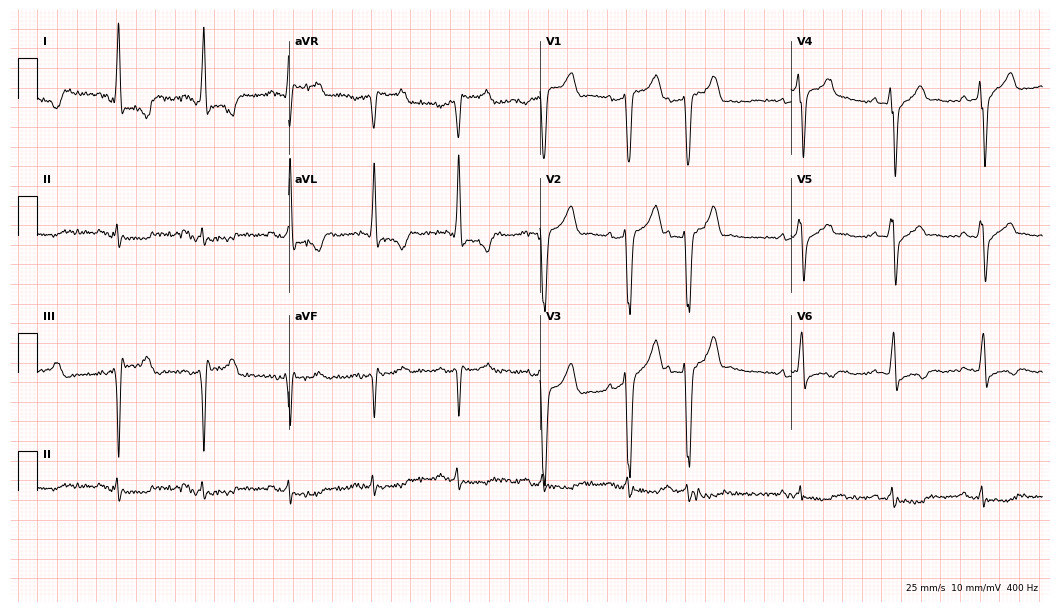
Electrocardiogram (10.2-second recording at 400 Hz), a man, 73 years old. Of the six screened findings (first-degree AV block, right bundle branch block, left bundle branch block, sinus bradycardia, atrial fibrillation, sinus tachycardia), none is recorded.